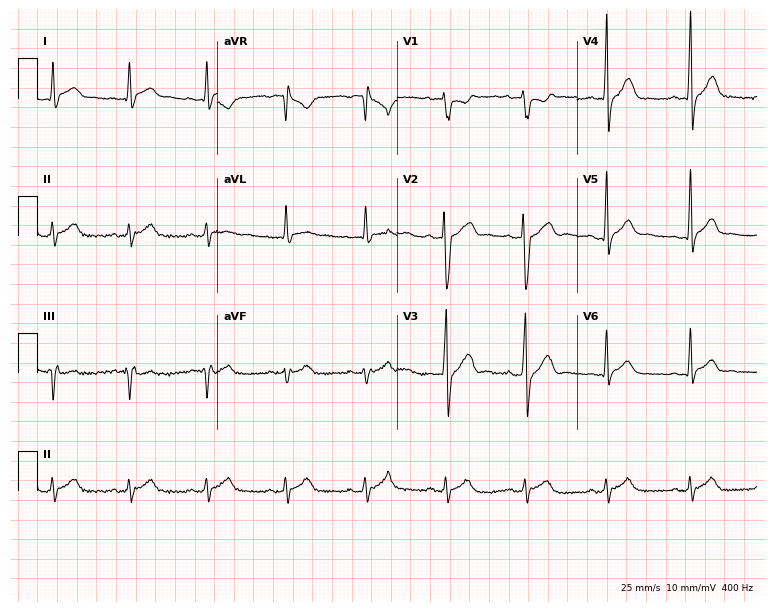
Standard 12-lead ECG recorded from a 33-year-old male patient (7.3-second recording at 400 Hz). Read as a normal ECG.